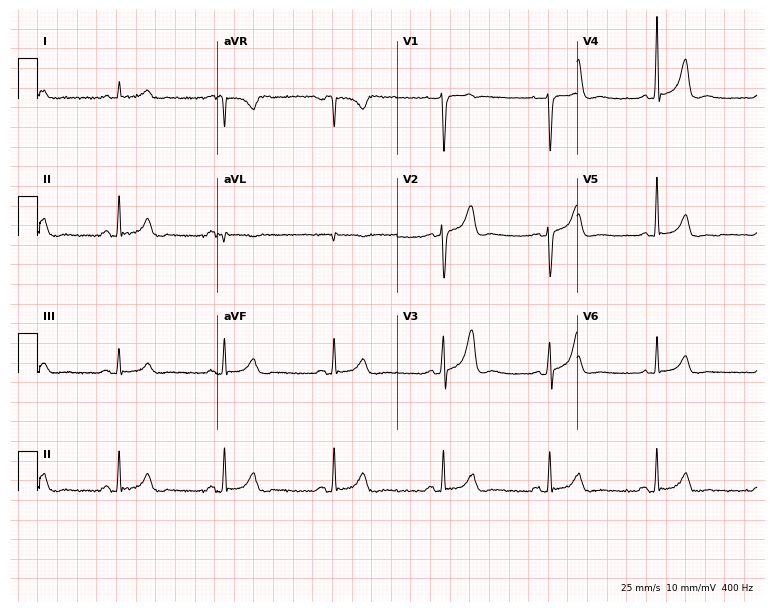
ECG — a male patient, 58 years old. Screened for six findings — first-degree AV block, right bundle branch block, left bundle branch block, sinus bradycardia, atrial fibrillation, sinus tachycardia — none is recorded.